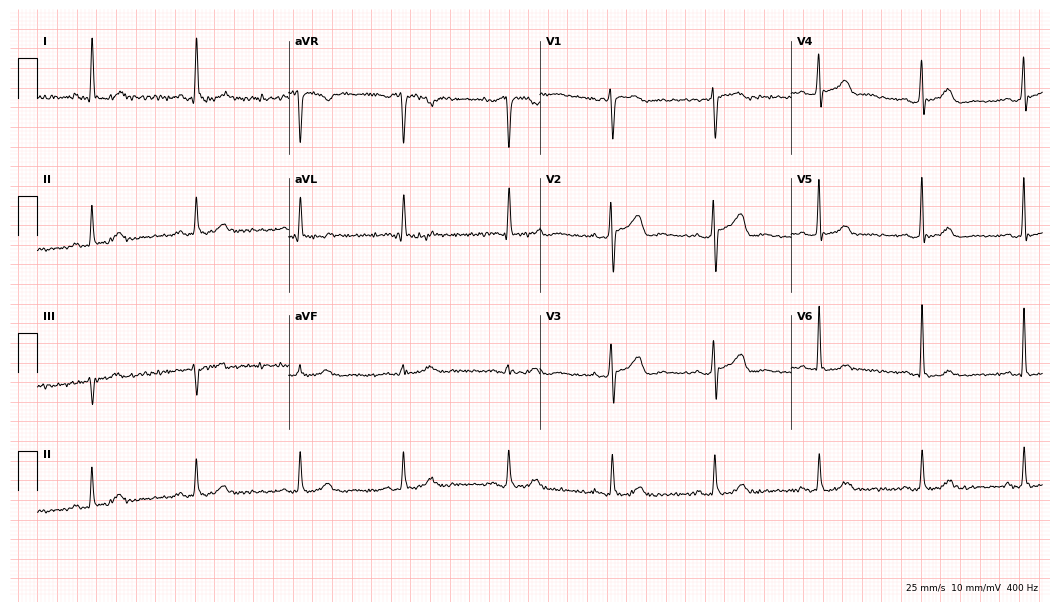
Electrocardiogram (10.2-second recording at 400 Hz), a 77-year-old woman. Overall reading on record: normal ECG.